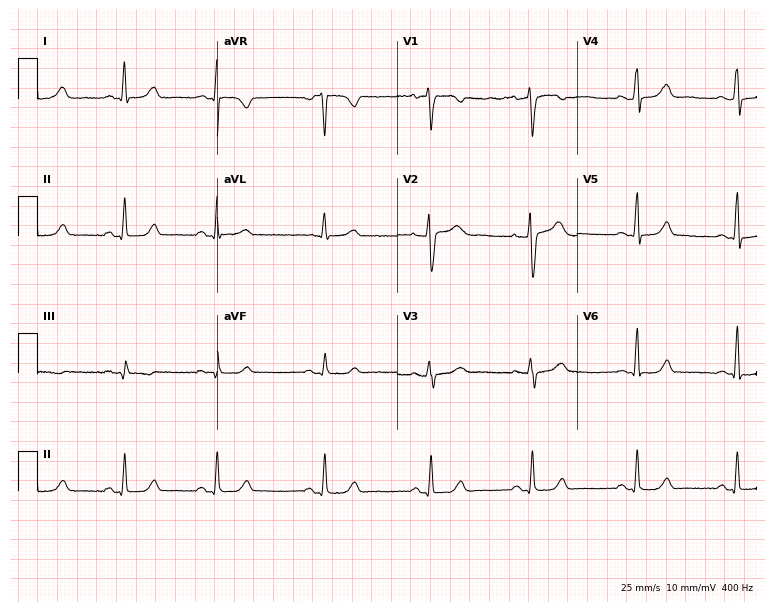
Resting 12-lead electrocardiogram. Patient: a female, 42 years old. Read as a normal ECG.